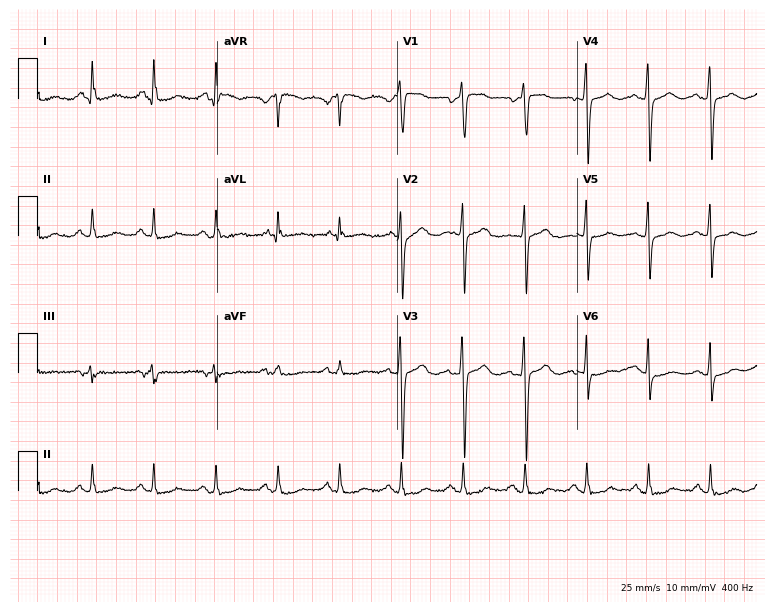
Electrocardiogram (7.3-second recording at 400 Hz), a 74-year-old female. Overall reading on record: normal ECG.